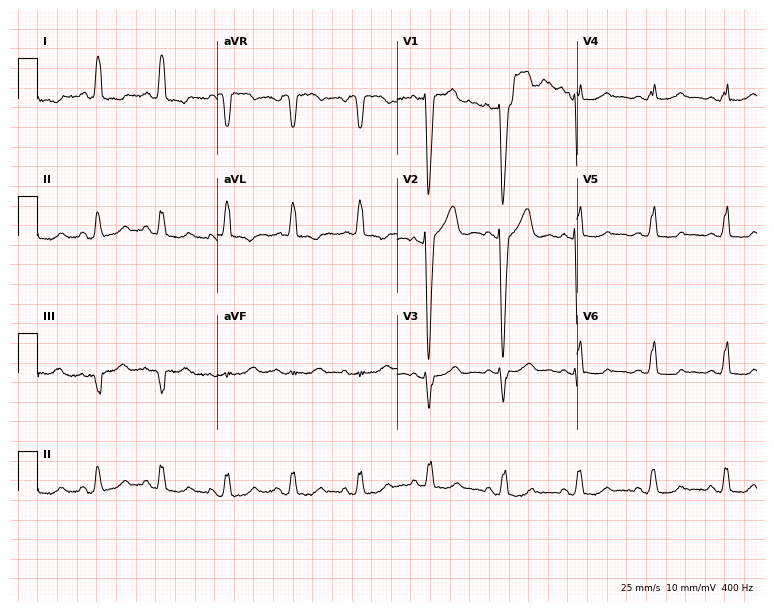
Electrocardiogram (7.3-second recording at 400 Hz), a female, 24 years old. Interpretation includes left bundle branch block.